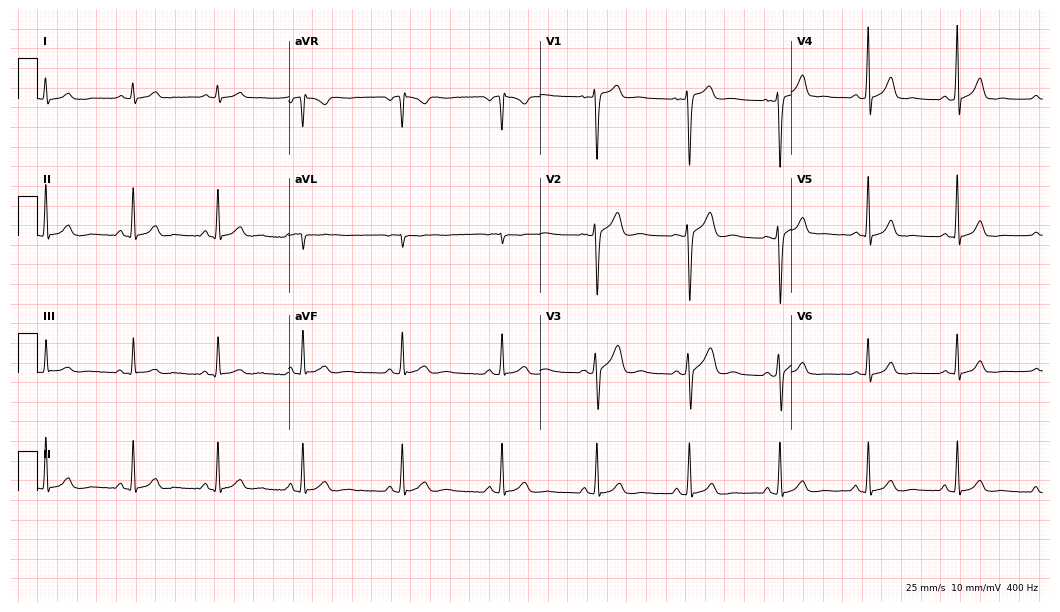
Electrocardiogram, a 33-year-old male. Of the six screened findings (first-degree AV block, right bundle branch block, left bundle branch block, sinus bradycardia, atrial fibrillation, sinus tachycardia), none is recorded.